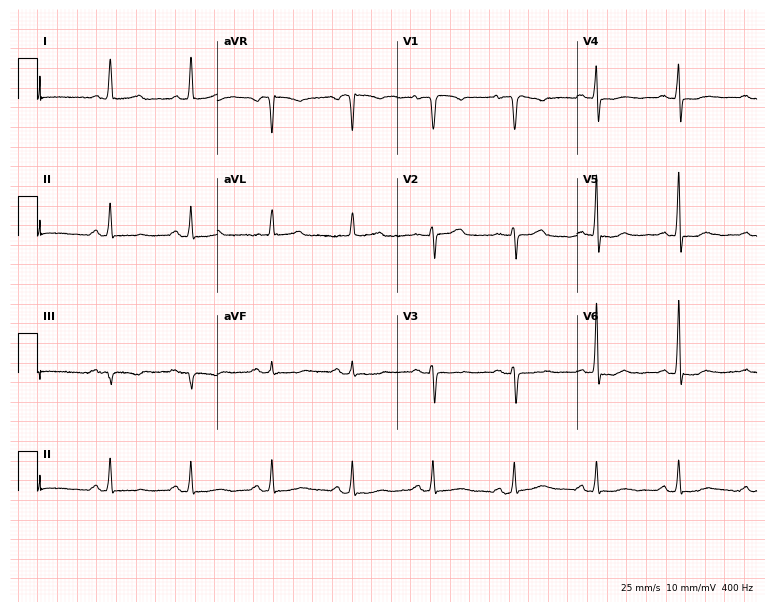
Resting 12-lead electrocardiogram. Patient: an 85-year-old female. None of these six findings is recorded: first-degree AV block, right bundle branch block, left bundle branch block, sinus bradycardia, atrial fibrillation, sinus tachycardia.